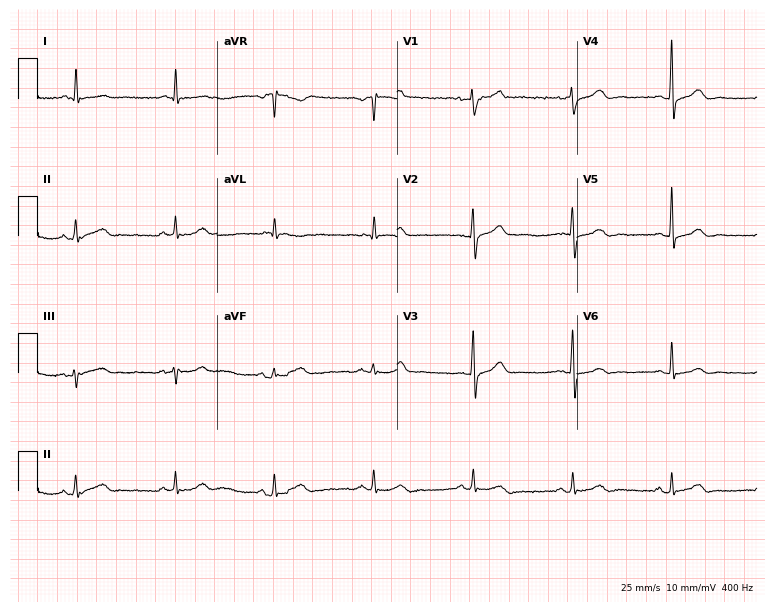
12-lead ECG from a 55-year-old male patient. Recorded interpretation: within normal limits.